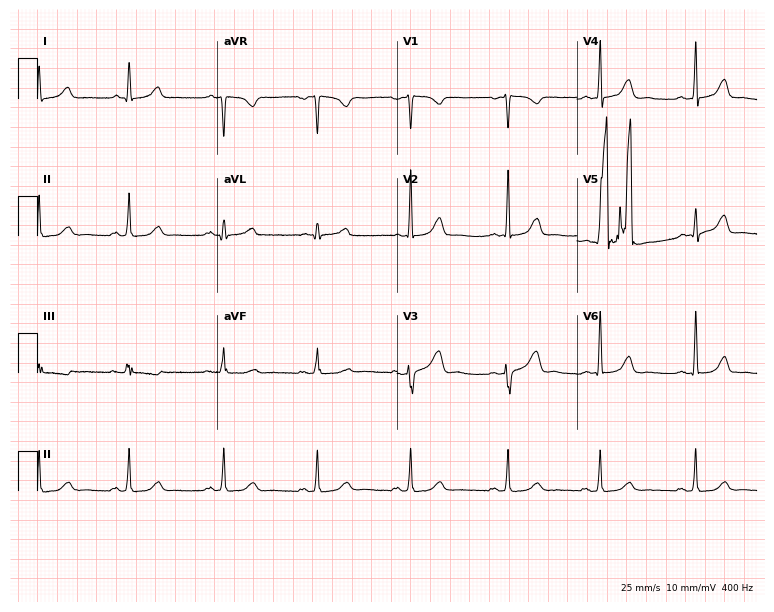
Electrocardiogram (7.3-second recording at 400 Hz), a 37-year-old female. Overall reading on record: normal ECG.